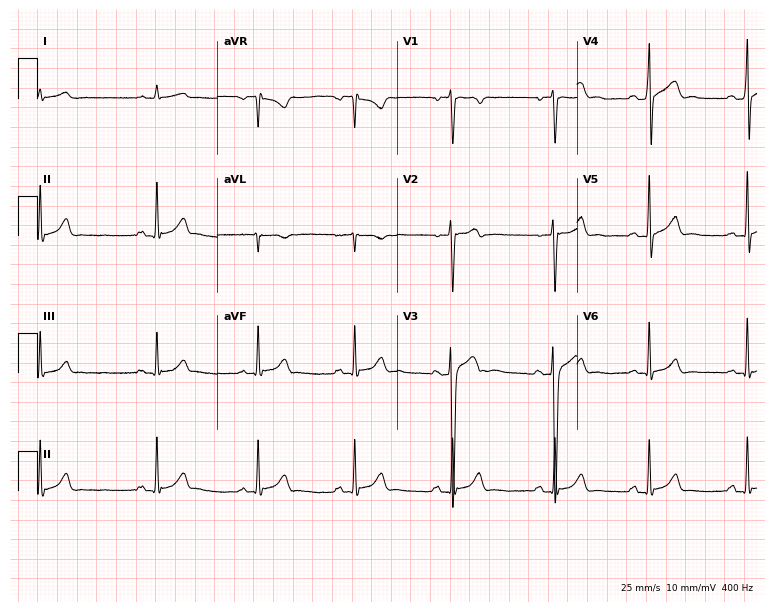
ECG (7.3-second recording at 400 Hz) — a male, 22 years old. Labelled as a normal ECG.